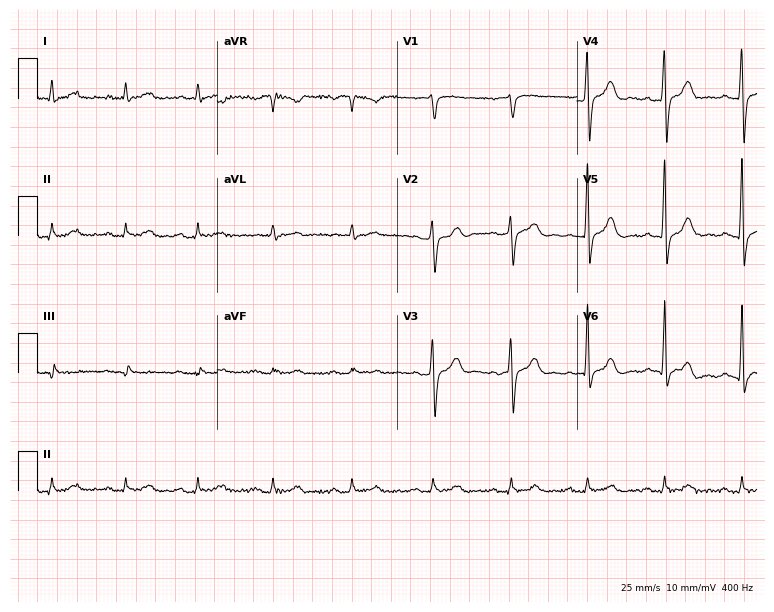
12-lead ECG (7.3-second recording at 400 Hz) from a male, 68 years old. Screened for six findings — first-degree AV block, right bundle branch block (RBBB), left bundle branch block (LBBB), sinus bradycardia, atrial fibrillation (AF), sinus tachycardia — none is recorded.